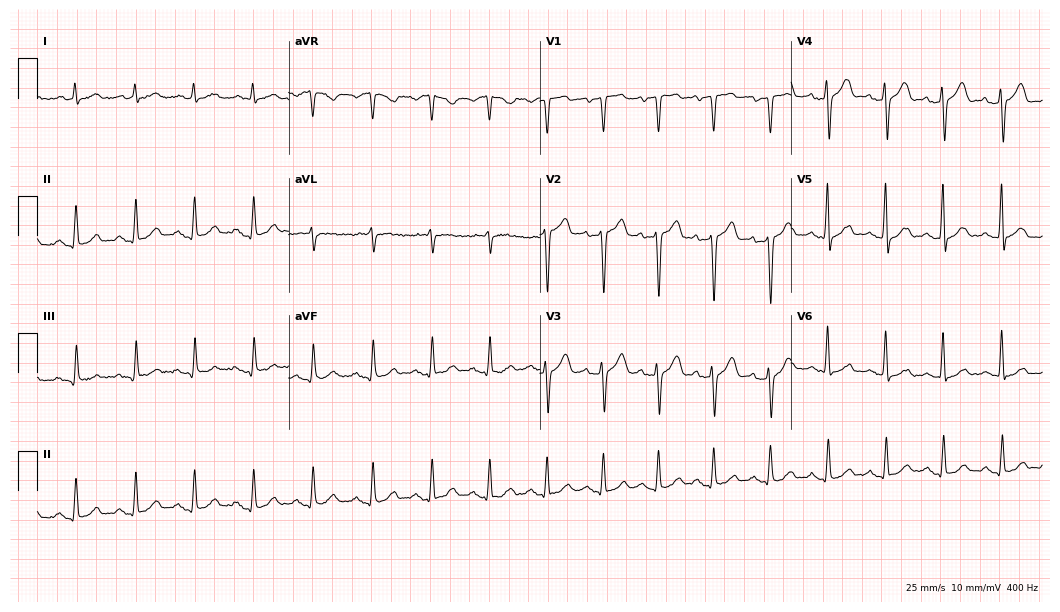
Electrocardiogram, a man, 58 years old. Of the six screened findings (first-degree AV block, right bundle branch block, left bundle branch block, sinus bradycardia, atrial fibrillation, sinus tachycardia), none is recorded. Findings outside these six are not listed.